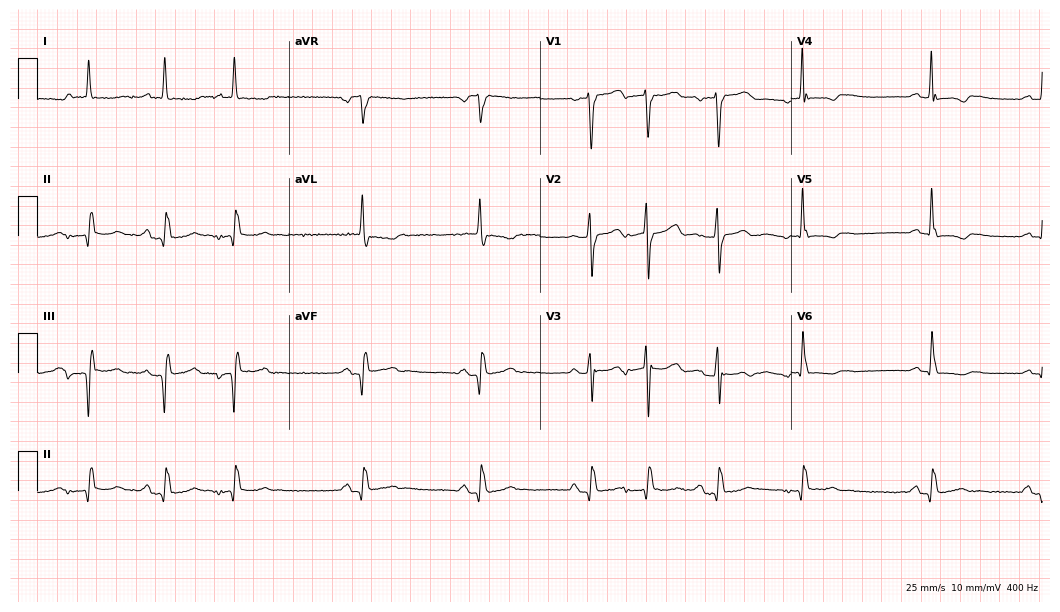
12-lead ECG from a 63-year-old woman (10.2-second recording at 400 Hz). No first-degree AV block, right bundle branch block, left bundle branch block, sinus bradycardia, atrial fibrillation or sinus tachycardia recorded for this tracing.